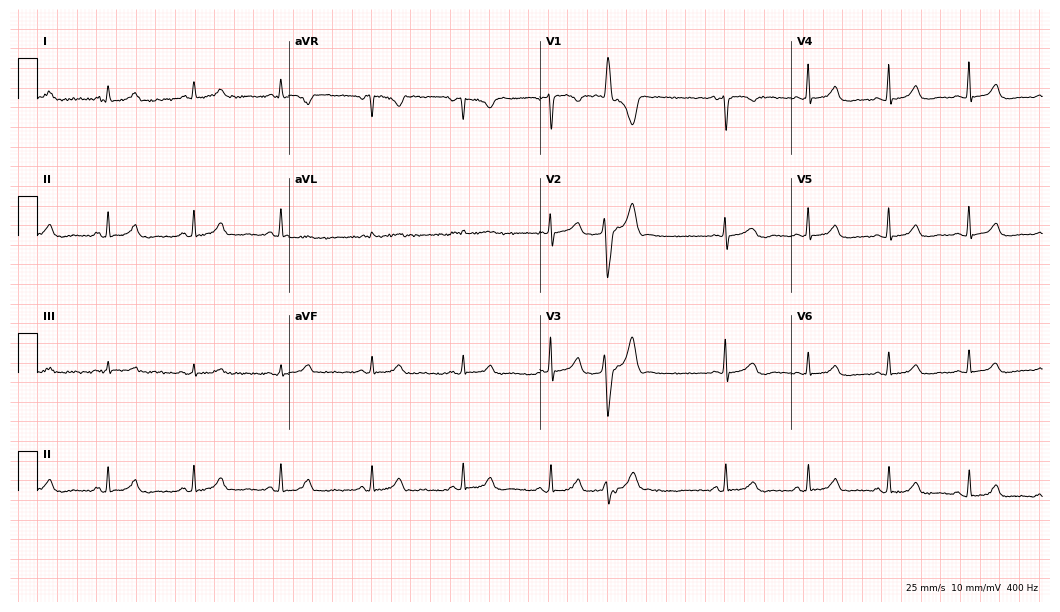
Resting 12-lead electrocardiogram (10.2-second recording at 400 Hz). Patient: a 49-year-old female. None of these six findings is recorded: first-degree AV block, right bundle branch block, left bundle branch block, sinus bradycardia, atrial fibrillation, sinus tachycardia.